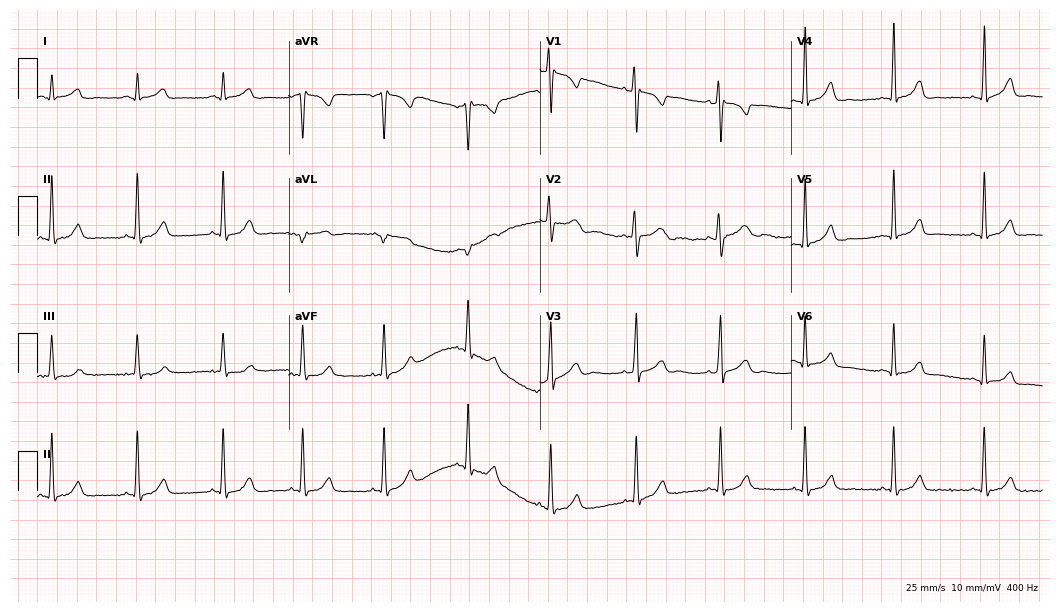
12-lead ECG from a woman, 24 years old. Recorded interpretation: within normal limits.